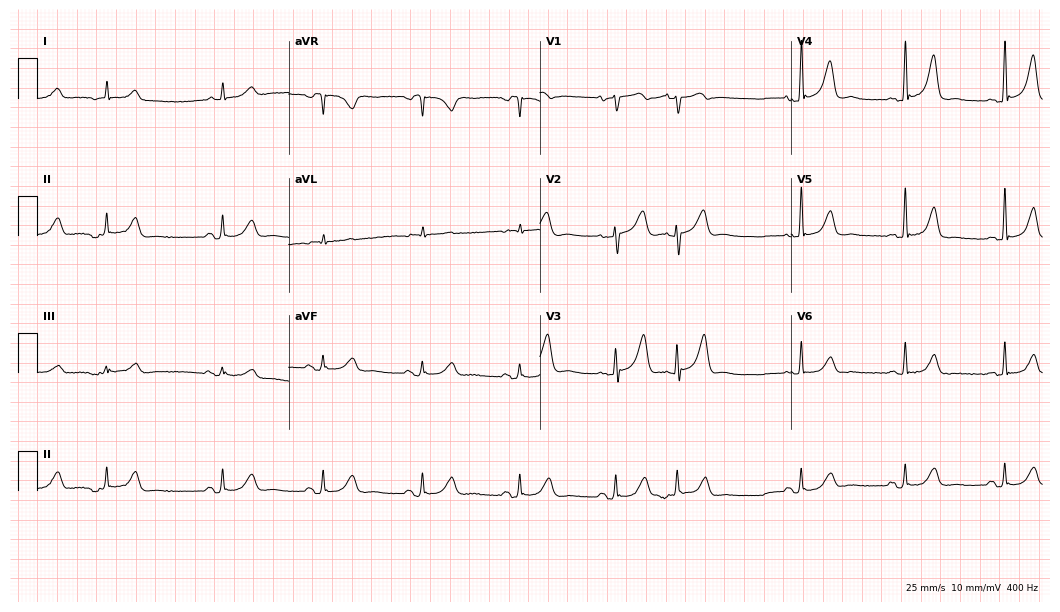
Electrocardiogram, a 76-year-old female patient. Overall reading on record: normal ECG.